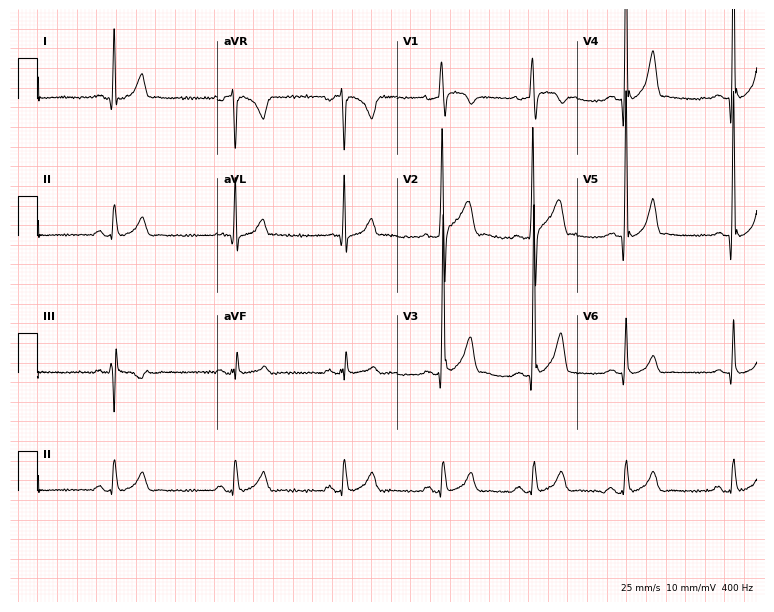
Standard 12-lead ECG recorded from a male patient, 30 years old (7.3-second recording at 400 Hz). Read as a normal ECG.